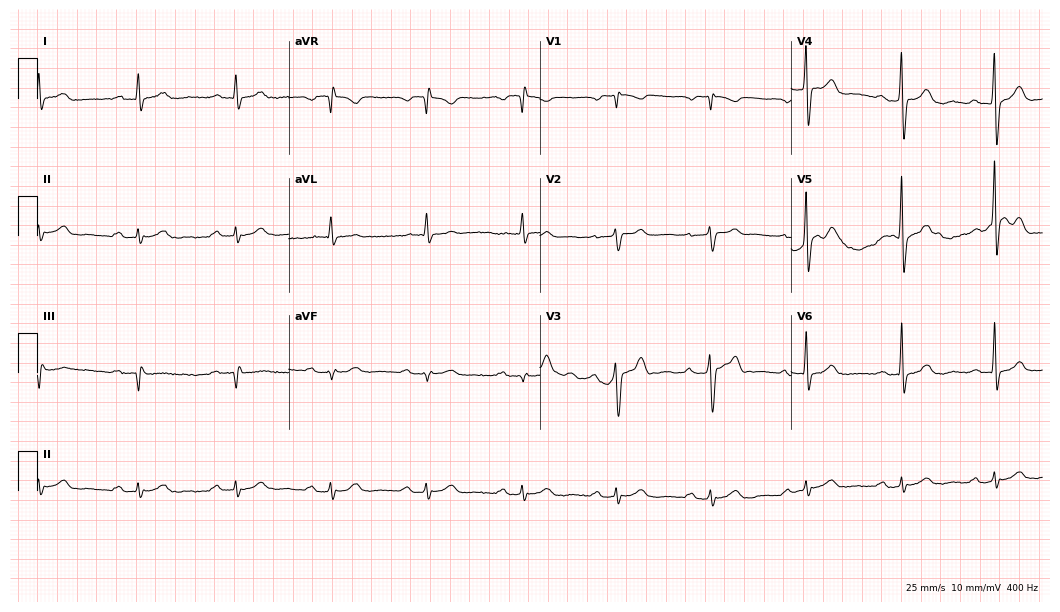
Resting 12-lead electrocardiogram. Patient: a 69-year-old male. The tracing shows first-degree AV block.